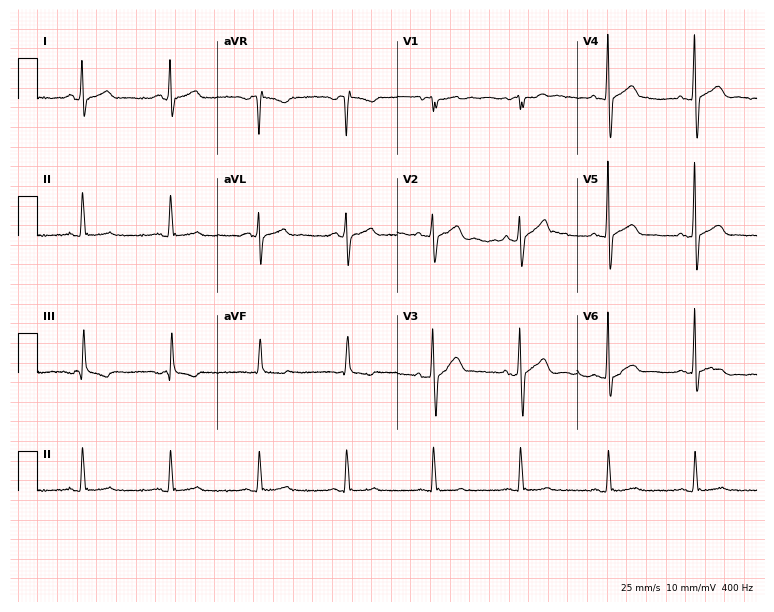
12-lead ECG from a 40-year-old male patient. Recorded interpretation: within normal limits.